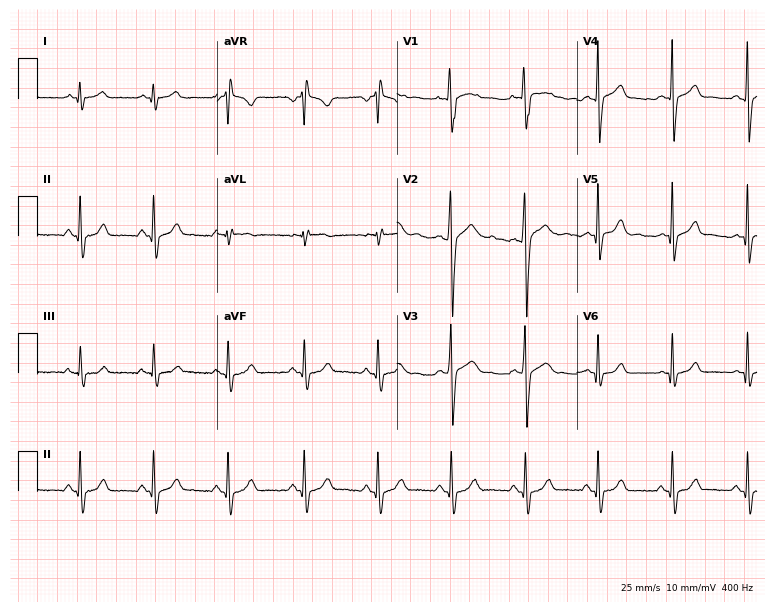
Resting 12-lead electrocardiogram (7.3-second recording at 400 Hz). Patient: an 18-year-old male. None of these six findings is recorded: first-degree AV block, right bundle branch block (RBBB), left bundle branch block (LBBB), sinus bradycardia, atrial fibrillation (AF), sinus tachycardia.